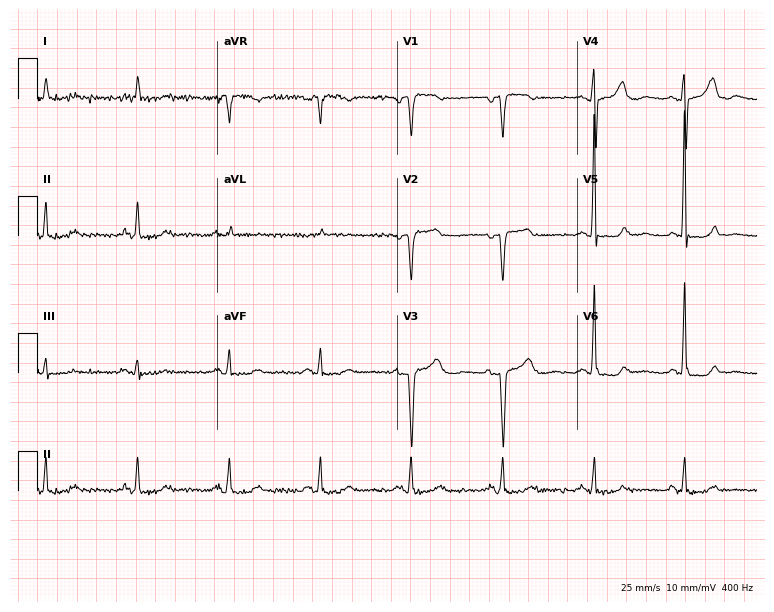
Electrocardiogram, a female patient, 82 years old. Of the six screened findings (first-degree AV block, right bundle branch block, left bundle branch block, sinus bradycardia, atrial fibrillation, sinus tachycardia), none is recorded. Other findings, if any, are not listed.